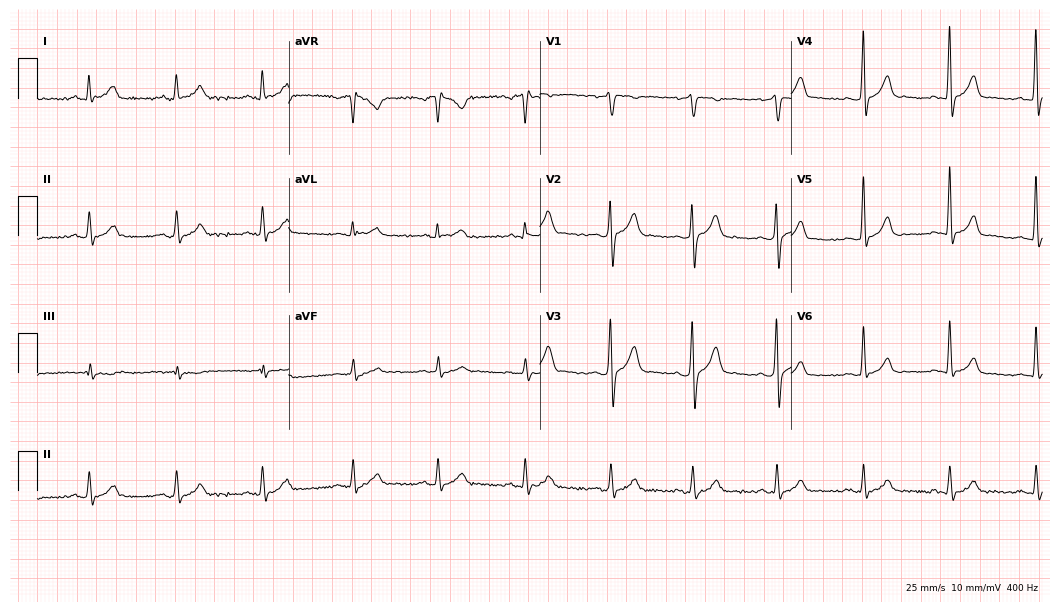
Standard 12-lead ECG recorded from a 31-year-old male. Read as a normal ECG.